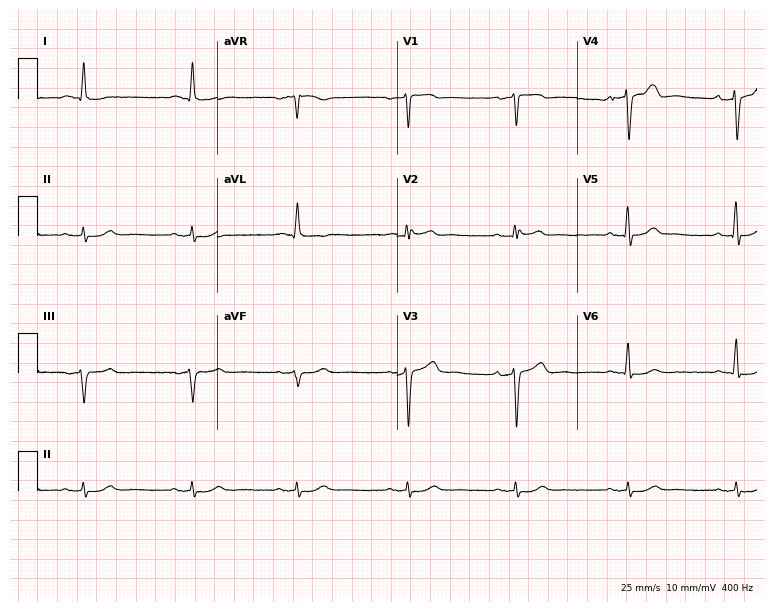
12-lead ECG from a male, 63 years old (7.3-second recording at 400 Hz). No first-degree AV block, right bundle branch block, left bundle branch block, sinus bradycardia, atrial fibrillation or sinus tachycardia recorded for this tracing. Other findings, if any, are not listed.